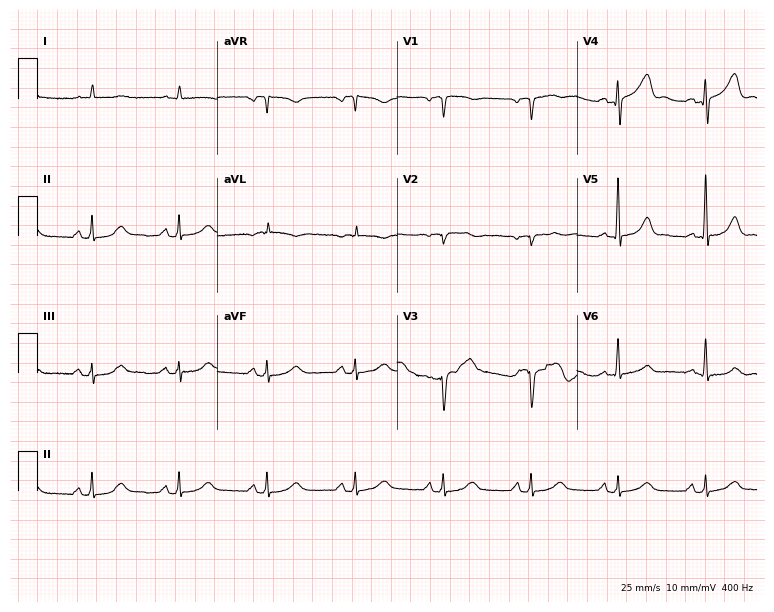
Standard 12-lead ECG recorded from a female patient, 72 years old. None of these six findings is recorded: first-degree AV block, right bundle branch block, left bundle branch block, sinus bradycardia, atrial fibrillation, sinus tachycardia. Only these six findings were labelled.